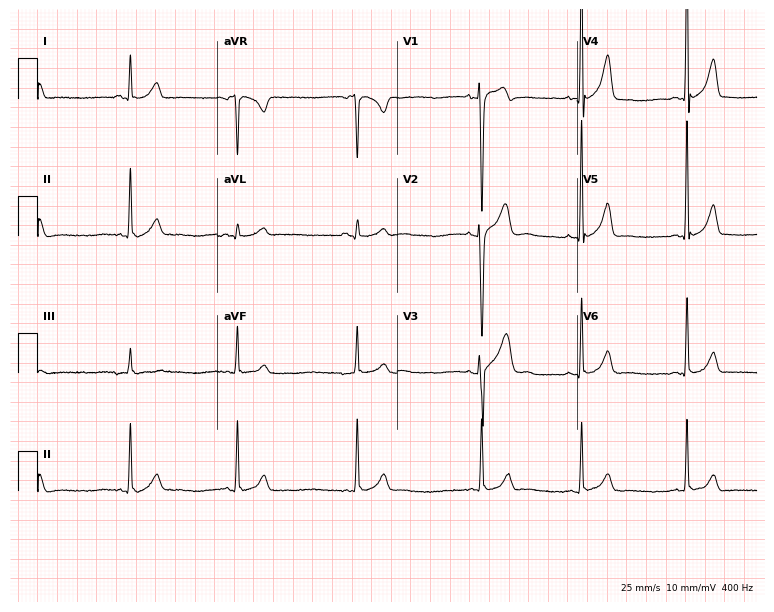
12-lead ECG (7.3-second recording at 400 Hz) from a male patient, 27 years old. Screened for six findings — first-degree AV block, right bundle branch block, left bundle branch block, sinus bradycardia, atrial fibrillation, sinus tachycardia — none is recorded. Findings outside these six are not listed.